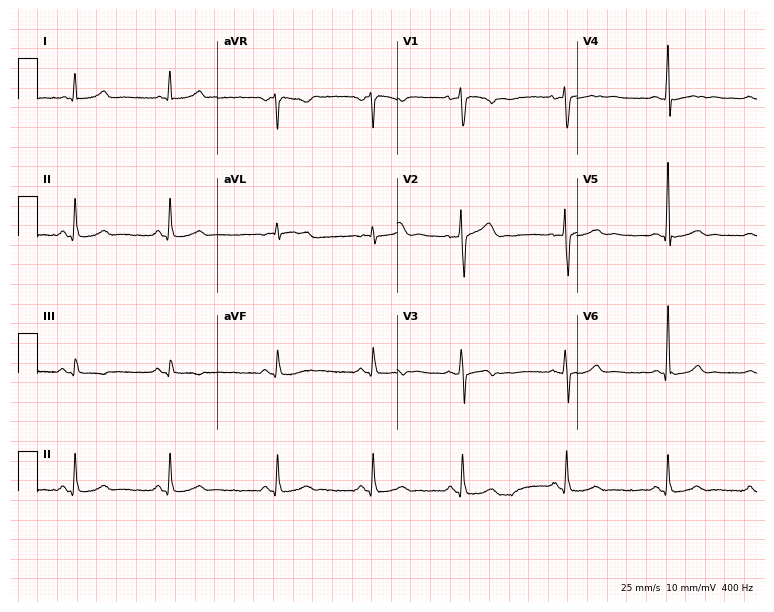
Resting 12-lead electrocardiogram (7.3-second recording at 400 Hz). Patient: a 33-year-old female. None of these six findings is recorded: first-degree AV block, right bundle branch block, left bundle branch block, sinus bradycardia, atrial fibrillation, sinus tachycardia.